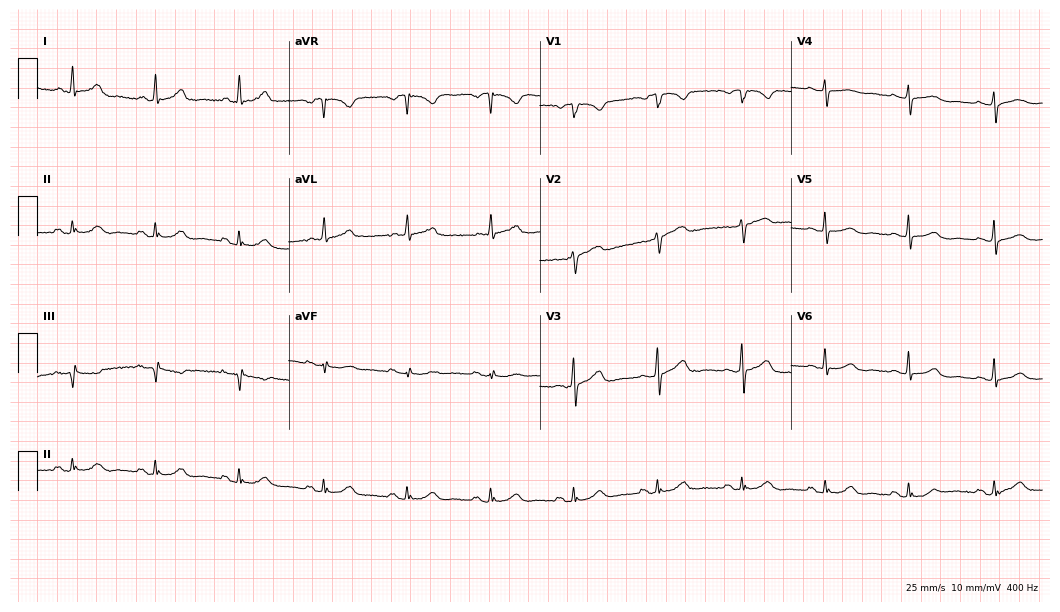
Electrocardiogram, a female patient, 71 years old. Overall reading on record: normal ECG.